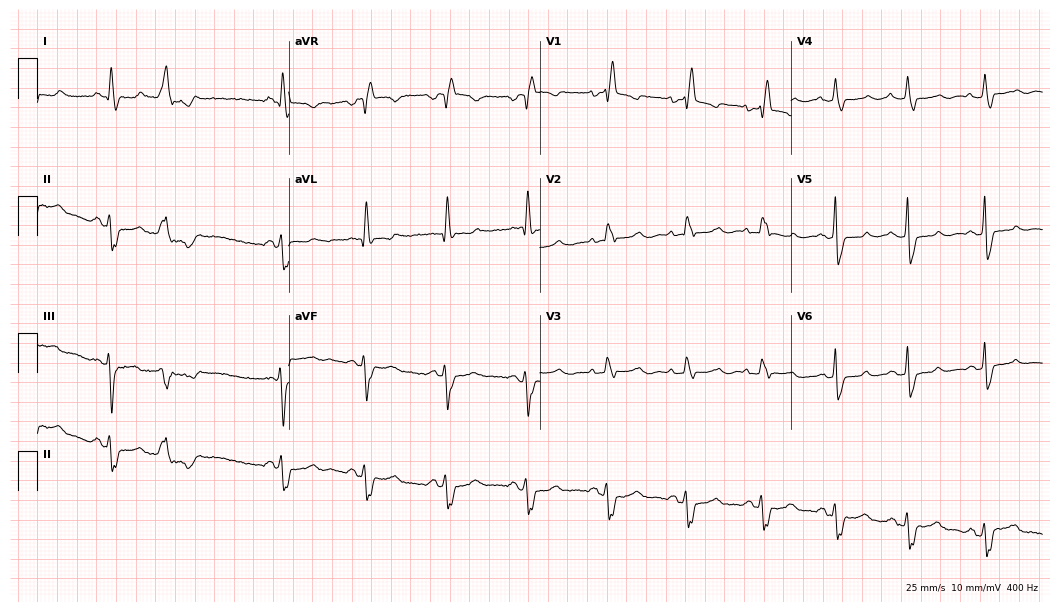
12-lead ECG (10.2-second recording at 400 Hz) from a woman, 57 years old. Findings include right bundle branch block.